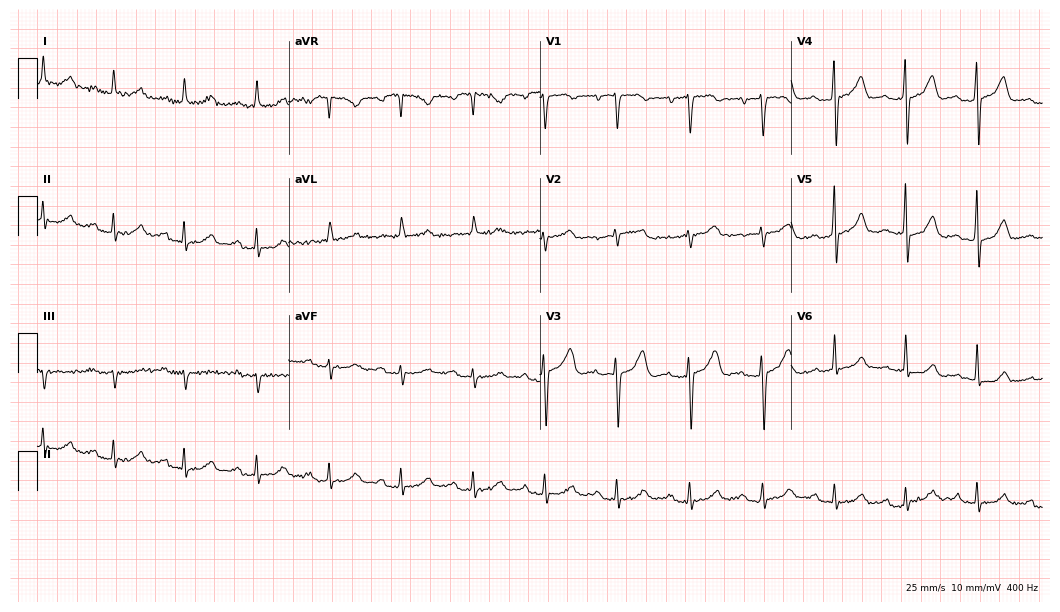
12-lead ECG from a male, 62 years old (10.2-second recording at 400 Hz). Shows first-degree AV block.